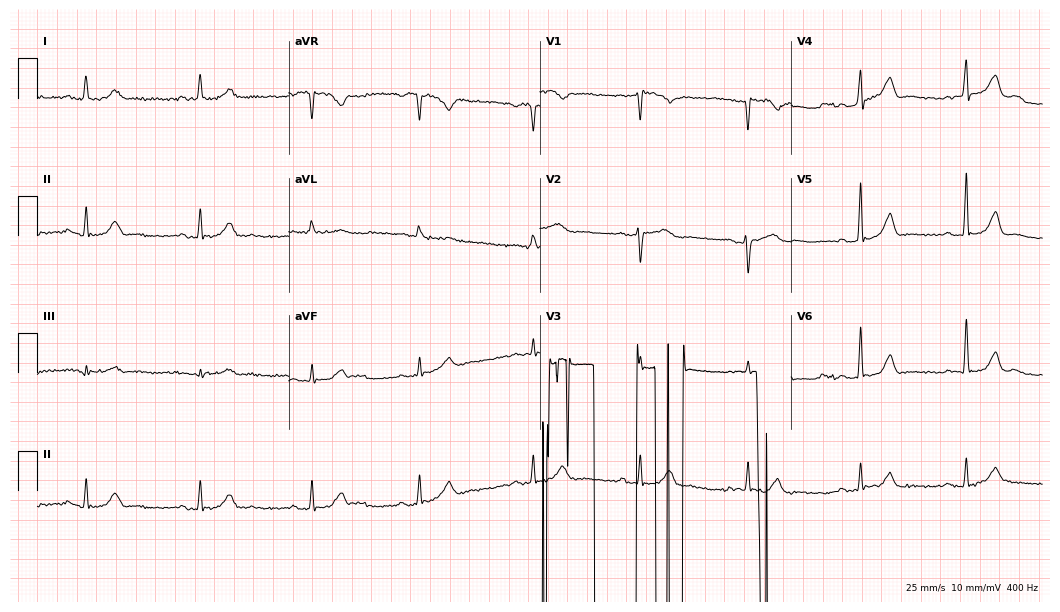
Resting 12-lead electrocardiogram (10.2-second recording at 400 Hz). Patient: a 77-year-old male. None of these six findings is recorded: first-degree AV block, right bundle branch block (RBBB), left bundle branch block (LBBB), sinus bradycardia, atrial fibrillation (AF), sinus tachycardia. Only these six findings were labelled.